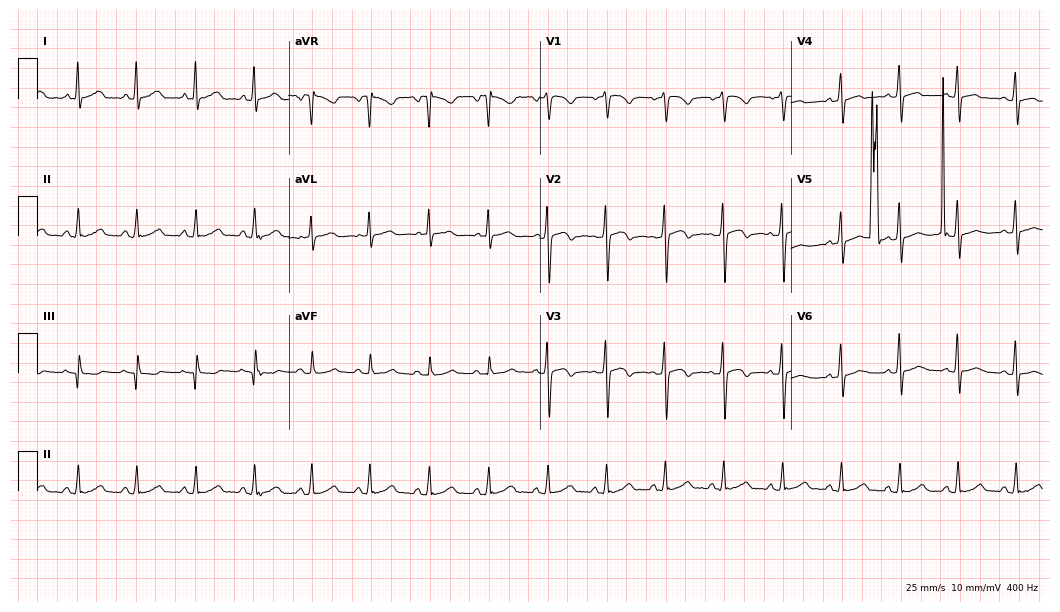
Electrocardiogram (10.2-second recording at 400 Hz), a 50-year-old female patient. Interpretation includes sinus tachycardia (a sinus rate of 100 beats per minute or more).